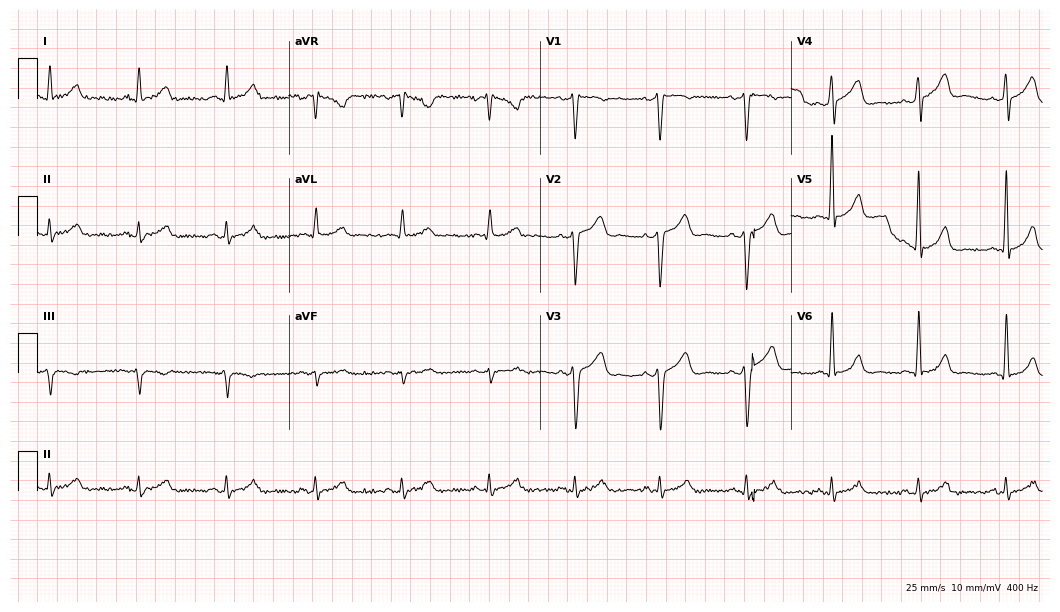
12-lead ECG (10.2-second recording at 400 Hz) from a 55-year-old man. Labelled as a normal ECG.